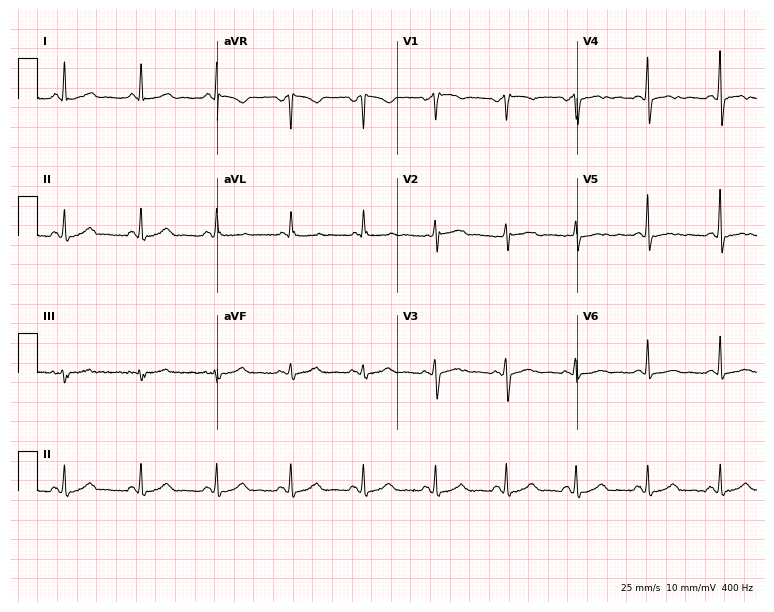
Resting 12-lead electrocardiogram (7.3-second recording at 400 Hz). Patient: a 53-year-old female. None of these six findings is recorded: first-degree AV block, right bundle branch block (RBBB), left bundle branch block (LBBB), sinus bradycardia, atrial fibrillation (AF), sinus tachycardia. Findings outside these six are not listed.